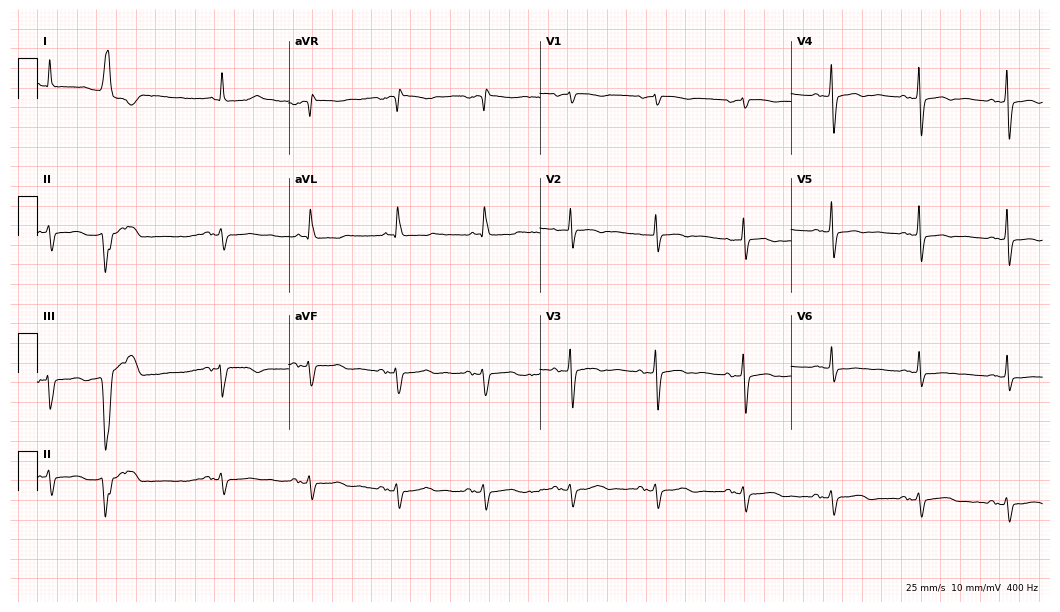
12-lead ECG (10.2-second recording at 400 Hz) from a female patient, 77 years old. Labelled as a normal ECG.